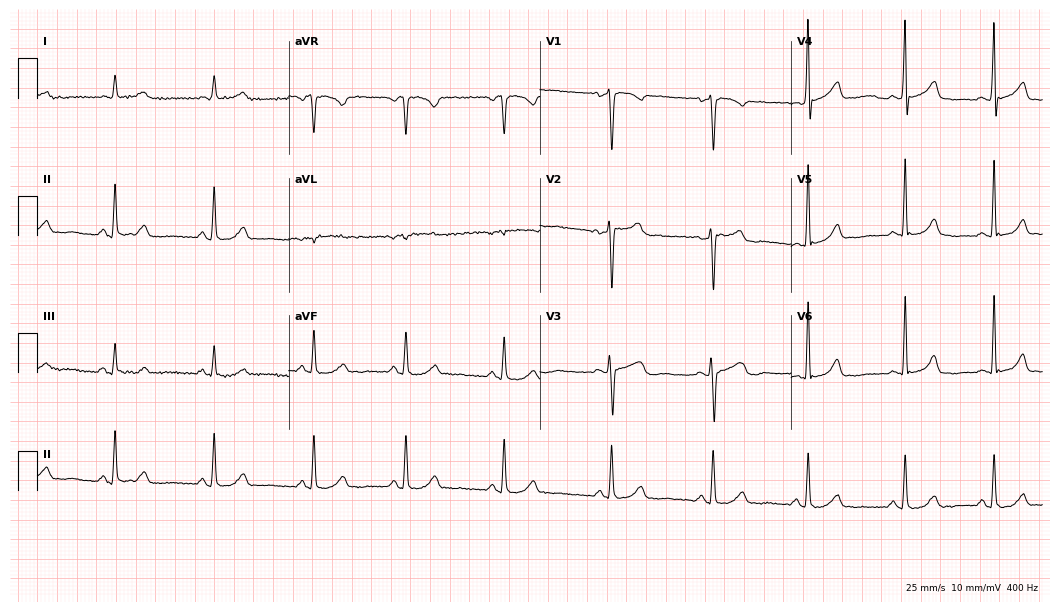
12-lead ECG from a 47-year-old female. Recorded interpretation: within normal limits.